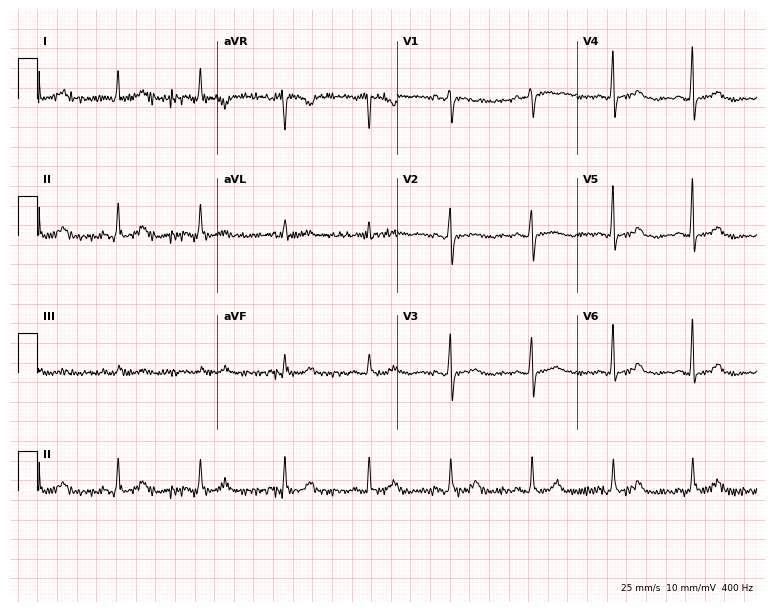
12-lead ECG (7.3-second recording at 400 Hz) from a female, 56 years old. Screened for six findings — first-degree AV block, right bundle branch block, left bundle branch block, sinus bradycardia, atrial fibrillation, sinus tachycardia — none is recorded.